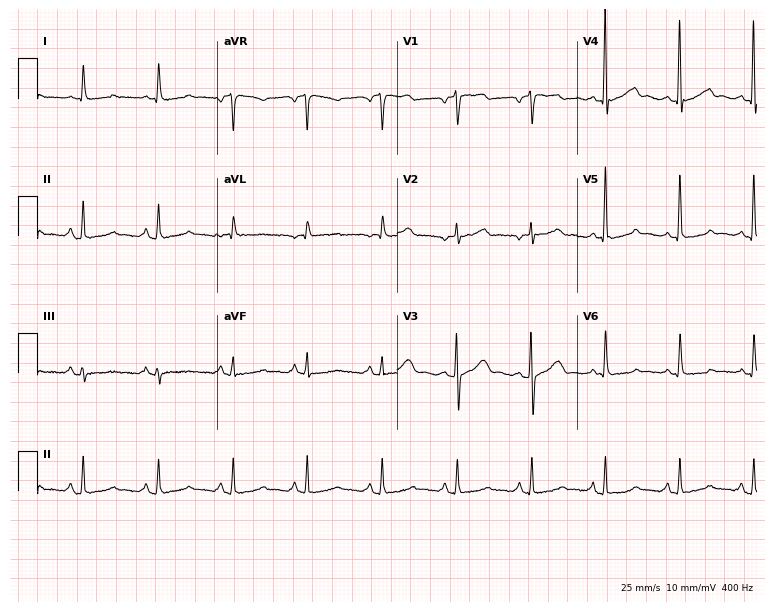
ECG (7.3-second recording at 400 Hz) — an 84-year-old female. Labelled as a normal ECG.